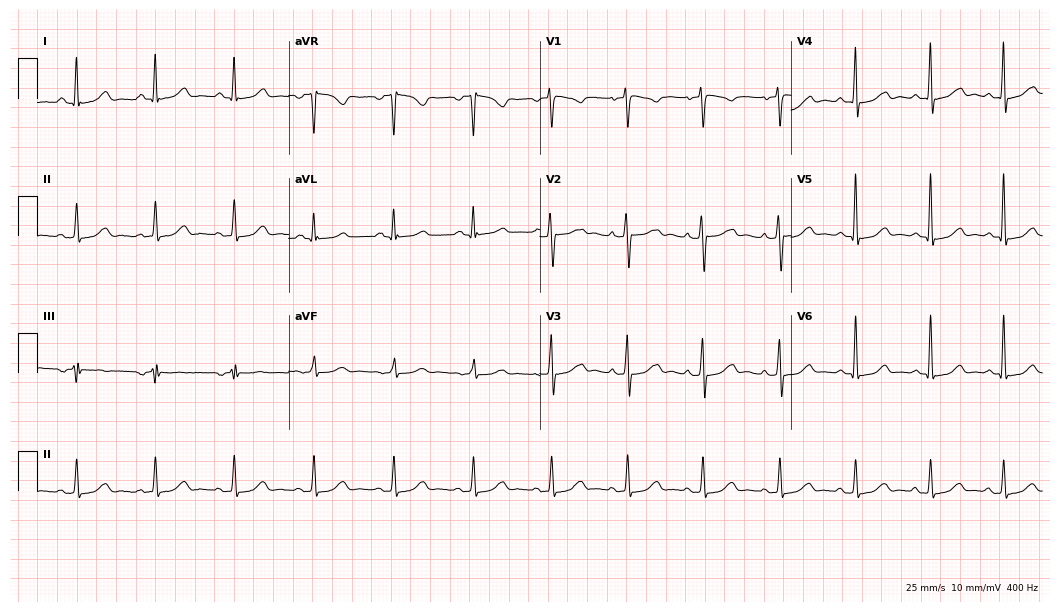
12-lead ECG (10.2-second recording at 400 Hz) from a woman, 52 years old. Screened for six findings — first-degree AV block, right bundle branch block, left bundle branch block, sinus bradycardia, atrial fibrillation, sinus tachycardia — none is recorded.